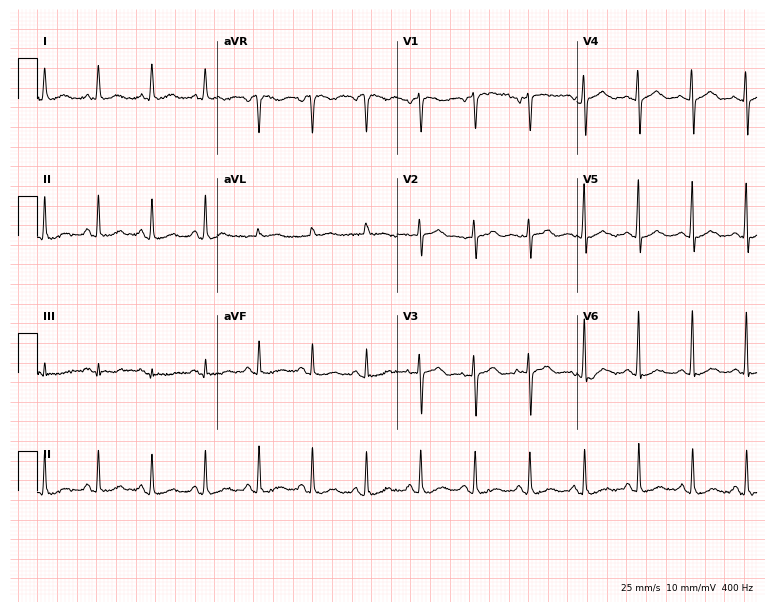
ECG — a 64-year-old female. Findings include sinus tachycardia (a sinus rate of 100 beats per minute or more).